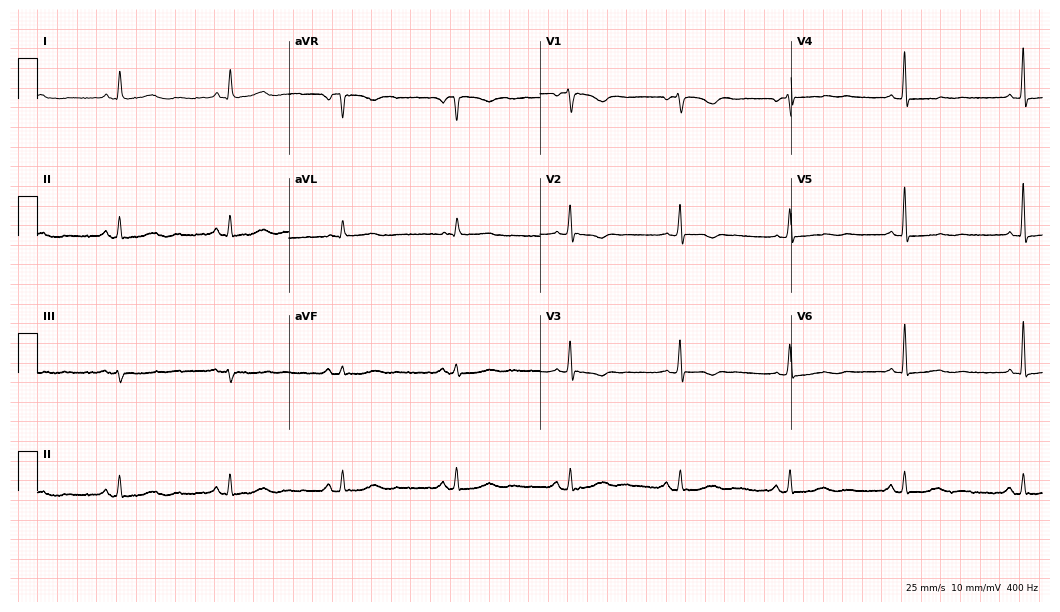
12-lead ECG from a woman, 79 years old. Screened for six findings — first-degree AV block, right bundle branch block, left bundle branch block, sinus bradycardia, atrial fibrillation, sinus tachycardia — none is recorded.